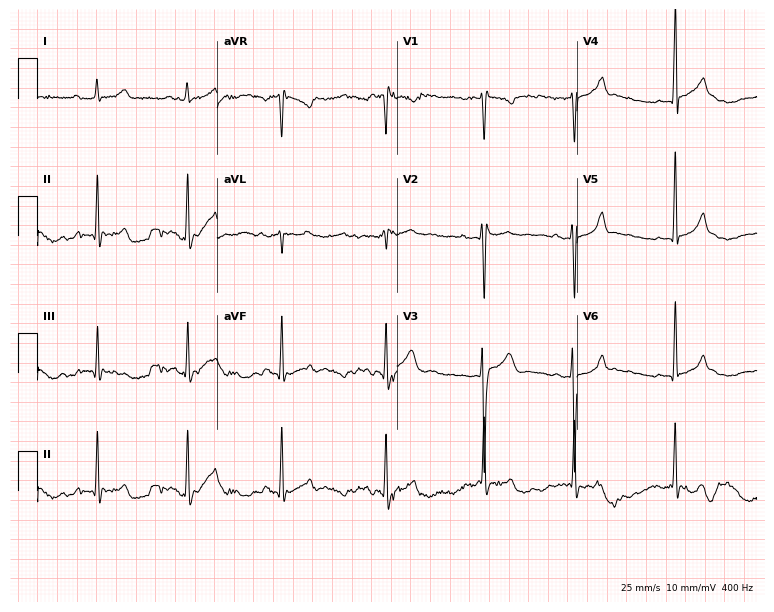
ECG — a 21-year-old woman. Labelled as a normal ECG.